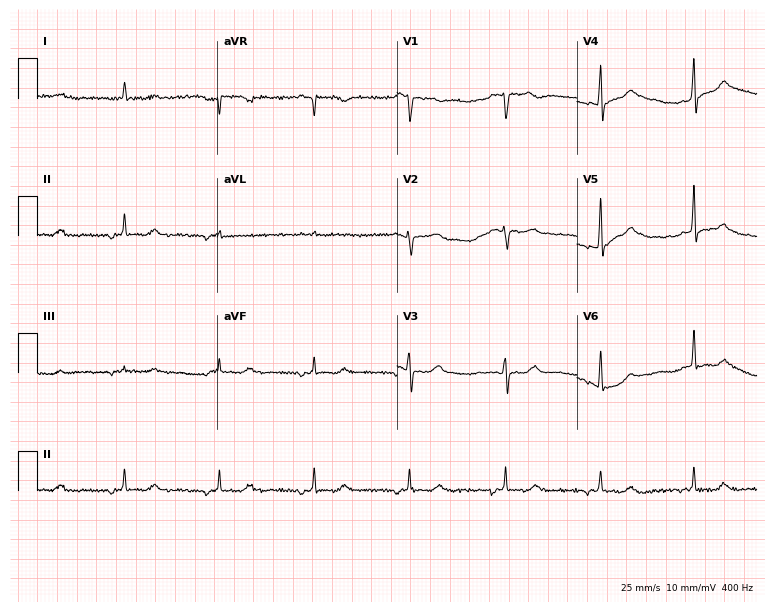
12-lead ECG from a male patient, 78 years old (7.3-second recording at 400 Hz). No first-degree AV block, right bundle branch block (RBBB), left bundle branch block (LBBB), sinus bradycardia, atrial fibrillation (AF) or sinus tachycardia recorded for this tracing. Only these six findings were labelled.